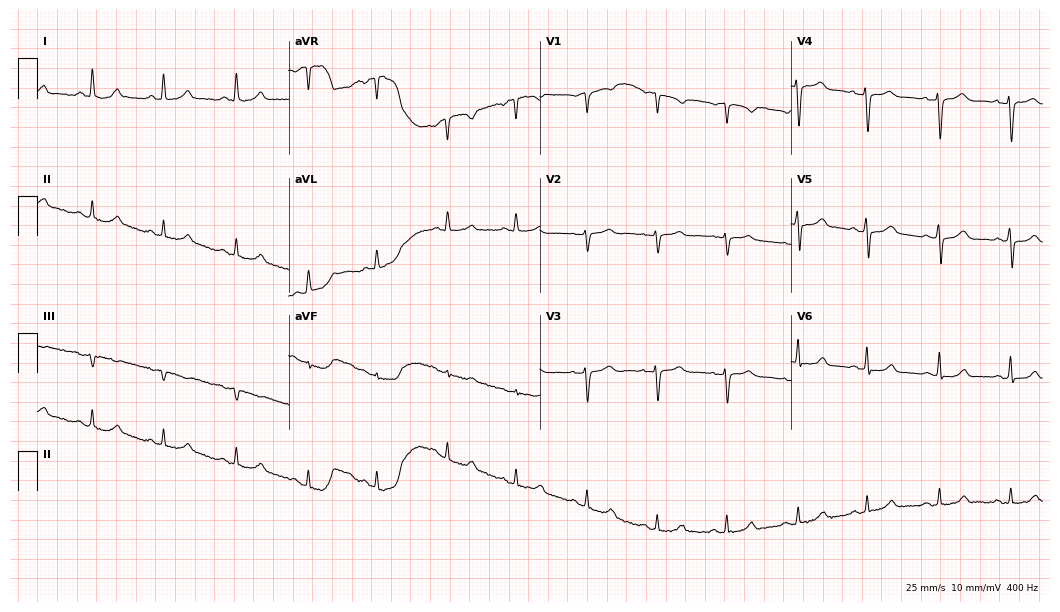
Electrocardiogram, a female patient, 46 years old. Overall reading on record: normal ECG.